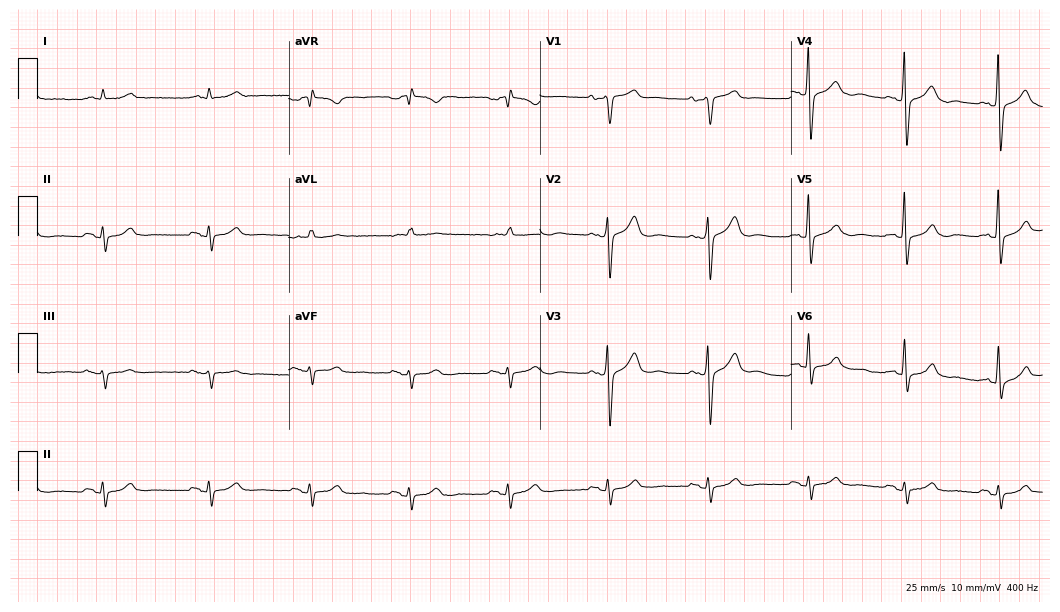
Electrocardiogram, a man, 81 years old. Of the six screened findings (first-degree AV block, right bundle branch block, left bundle branch block, sinus bradycardia, atrial fibrillation, sinus tachycardia), none is recorded. Other findings, if any, are not listed.